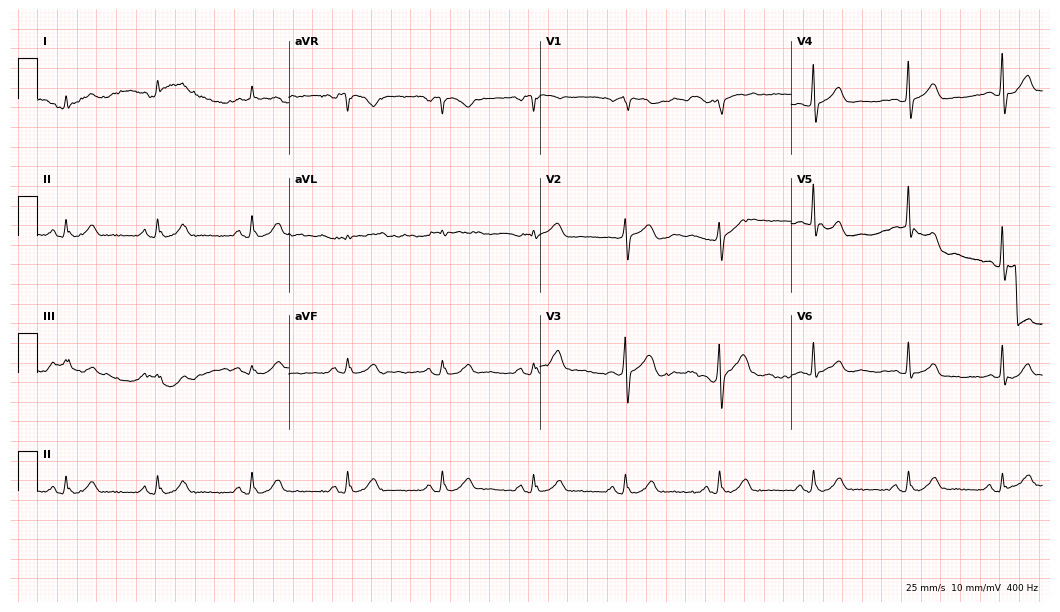
Standard 12-lead ECG recorded from a 74-year-old male patient. None of these six findings is recorded: first-degree AV block, right bundle branch block (RBBB), left bundle branch block (LBBB), sinus bradycardia, atrial fibrillation (AF), sinus tachycardia.